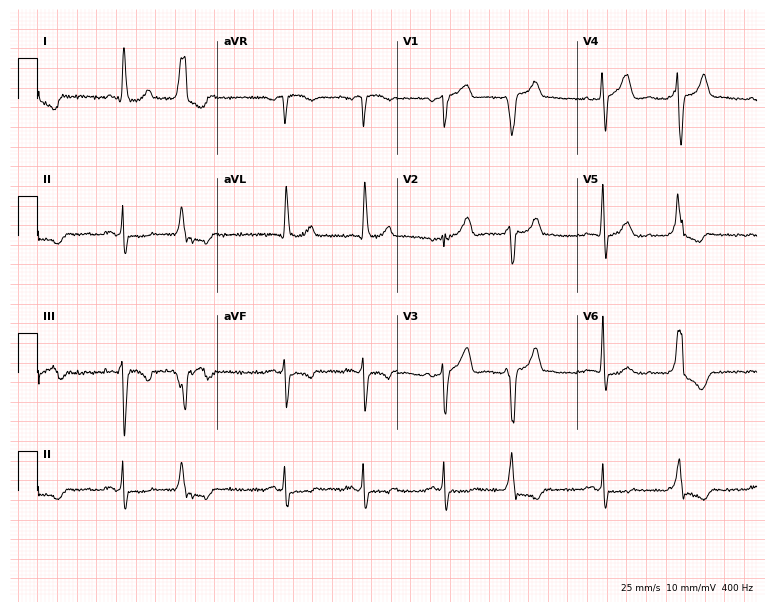
Standard 12-lead ECG recorded from a female patient, 70 years old (7.3-second recording at 400 Hz). None of these six findings is recorded: first-degree AV block, right bundle branch block, left bundle branch block, sinus bradycardia, atrial fibrillation, sinus tachycardia.